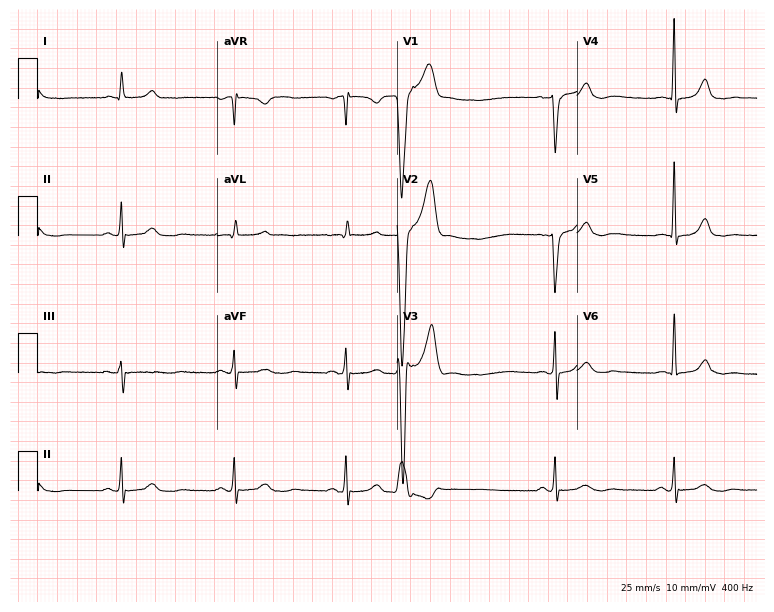
Resting 12-lead electrocardiogram. Patient: an 85-year-old male. None of these six findings is recorded: first-degree AV block, right bundle branch block, left bundle branch block, sinus bradycardia, atrial fibrillation, sinus tachycardia. Findings outside these six are not listed.